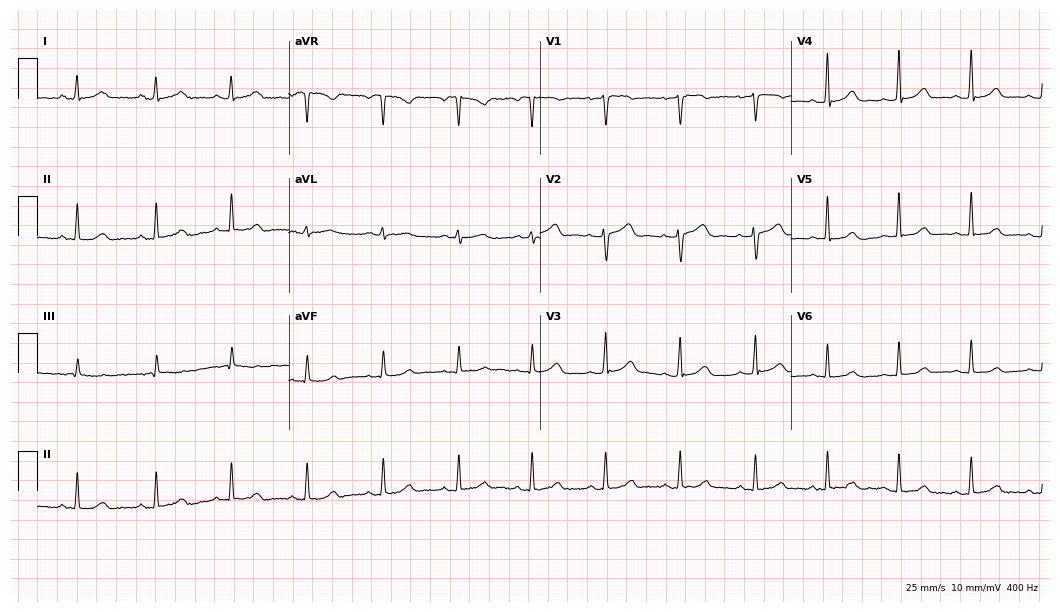
12-lead ECG from a woman, 39 years old. No first-degree AV block, right bundle branch block, left bundle branch block, sinus bradycardia, atrial fibrillation or sinus tachycardia recorded for this tracing. Only these six findings were labelled.